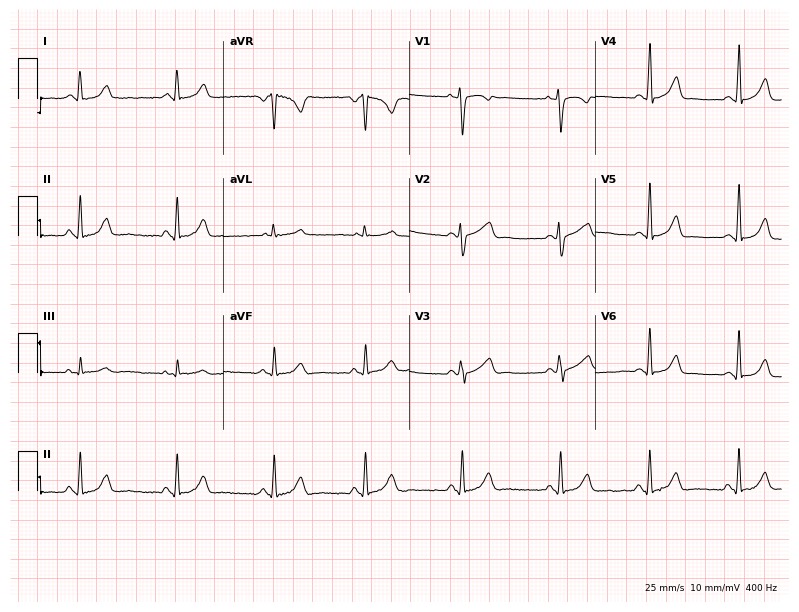
Electrocardiogram, a 31-year-old woman. Overall reading on record: normal ECG.